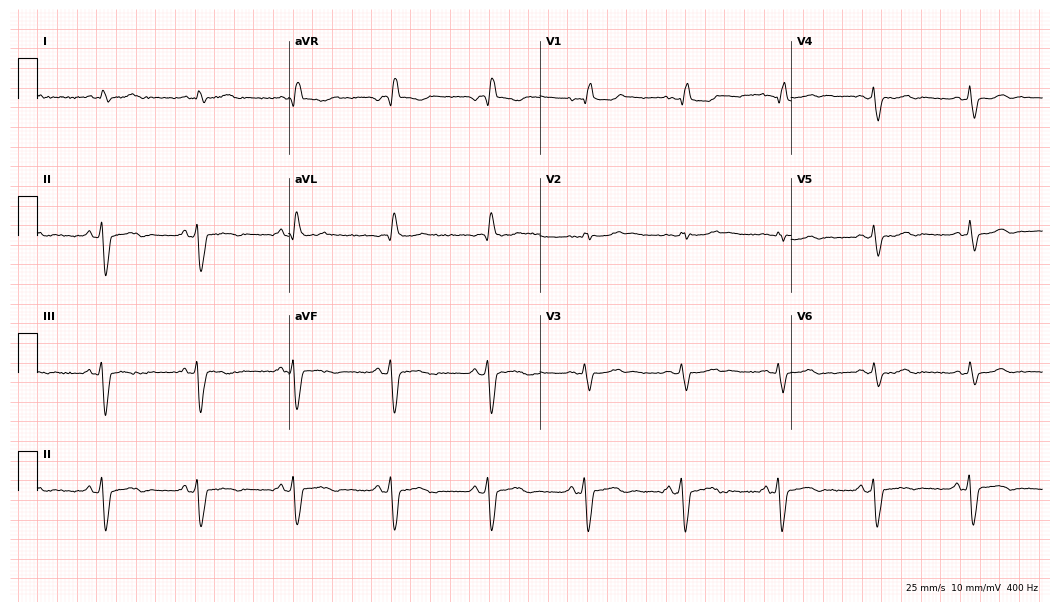
Electrocardiogram, a 68-year-old male patient. Interpretation includes right bundle branch block.